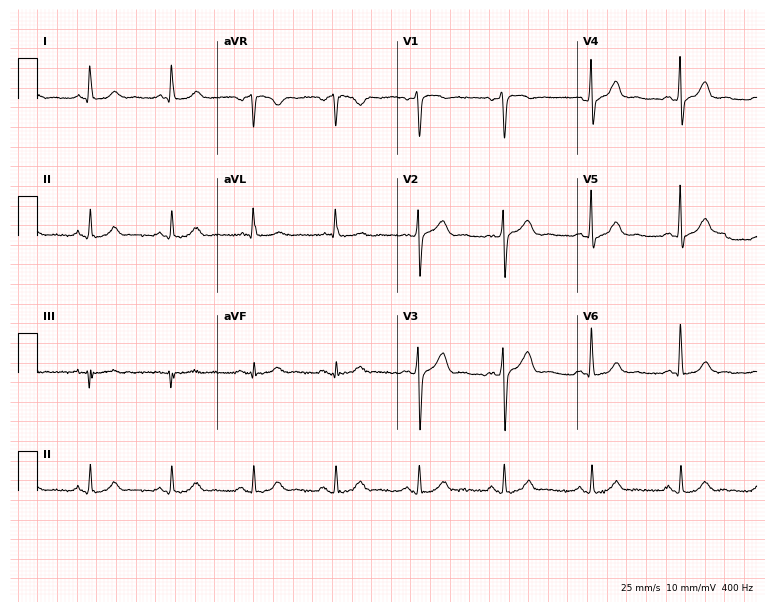
Resting 12-lead electrocardiogram. Patient: a 47-year-old male. Read as a normal ECG.